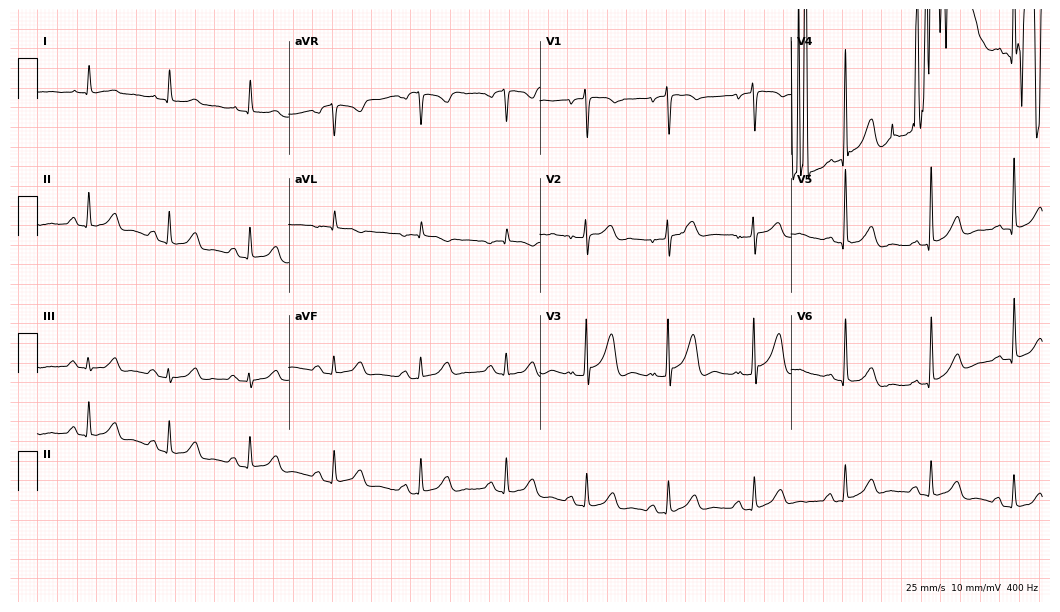
12-lead ECG (10.2-second recording at 400 Hz) from a female, 85 years old. Screened for six findings — first-degree AV block, right bundle branch block (RBBB), left bundle branch block (LBBB), sinus bradycardia, atrial fibrillation (AF), sinus tachycardia — none is recorded.